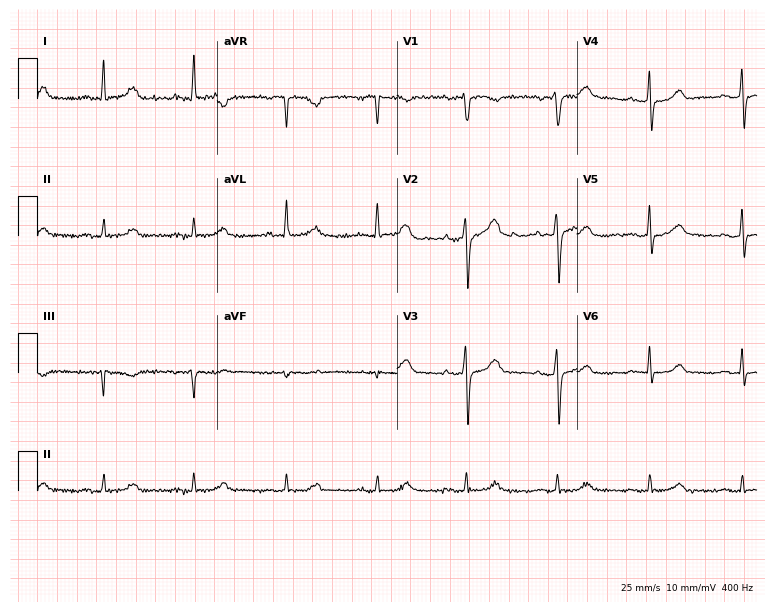
Resting 12-lead electrocardiogram. Patient: a female, 62 years old. Read as a normal ECG.